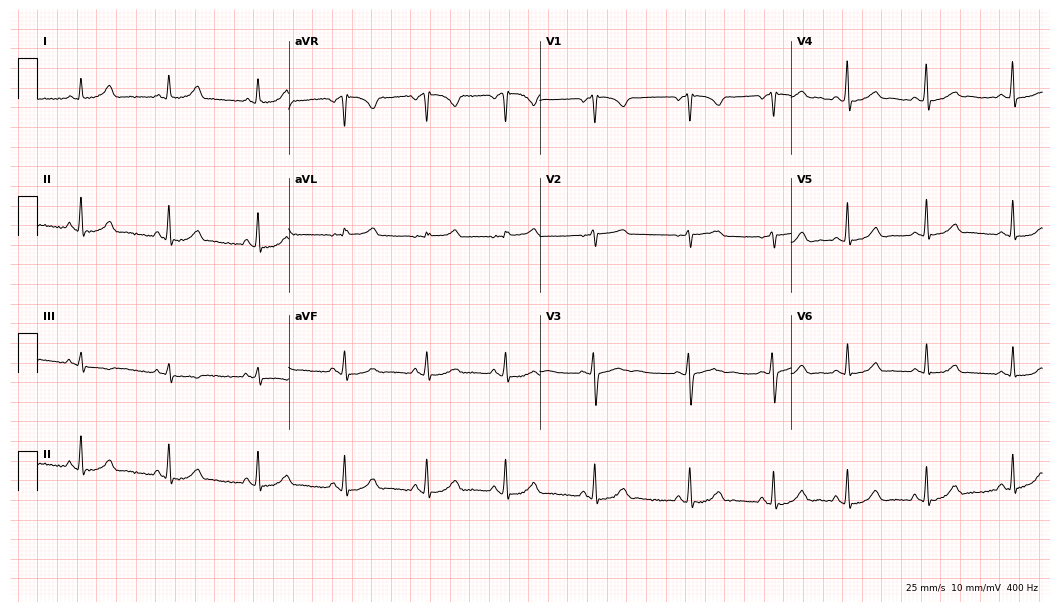
Resting 12-lead electrocardiogram (10.2-second recording at 400 Hz). Patient: a woman, 35 years old. Read as a normal ECG.